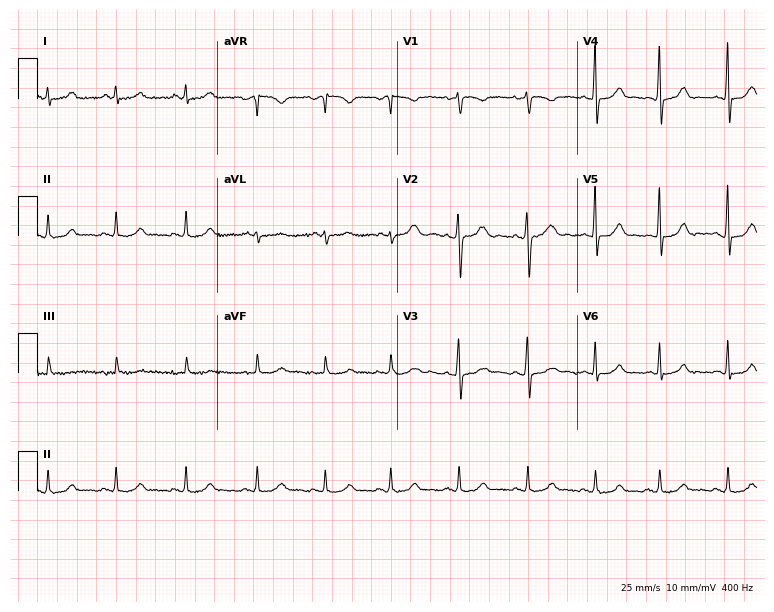
Standard 12-lead ECG recorded from a female patient, 20 years old (7.3-second recording at 400 Hz). Read as a normal ECG.